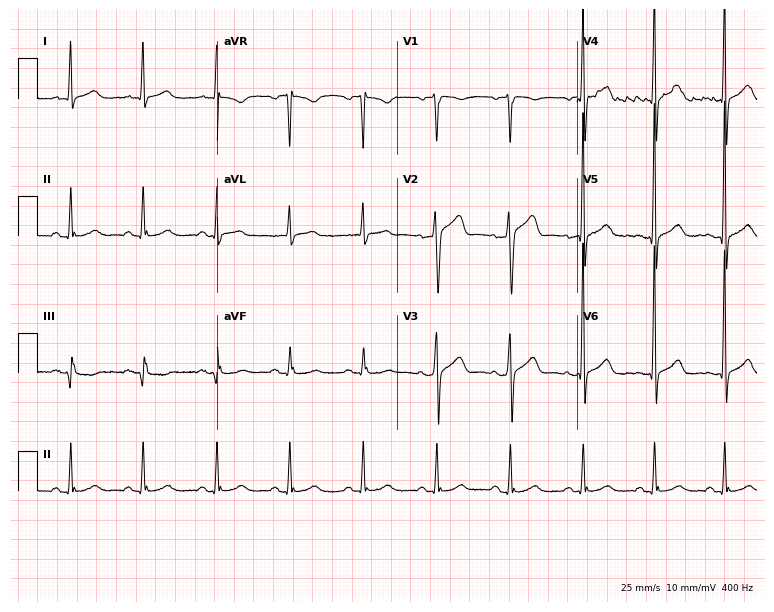
Resting 12-lead electrocardiogram (7.3-second recording at 400 Hz). Patient: a 61-year-old male. Read as a normal ECG.